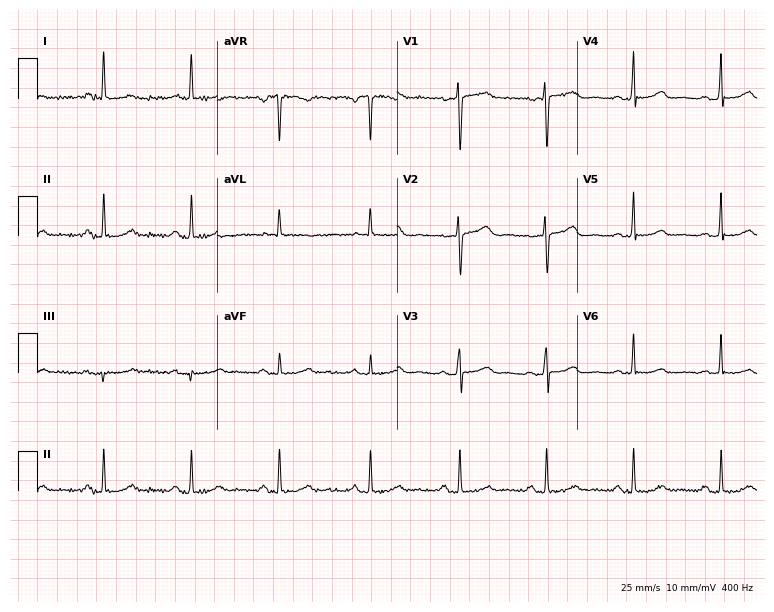
12-lead ECG from a female, 57 years old. Screened for six findings — first-degree AV block, right bundle branch block, left bundle branch block, sinus bradycardia, atrial fibrillation, sinus tachycardia — none is recorded.